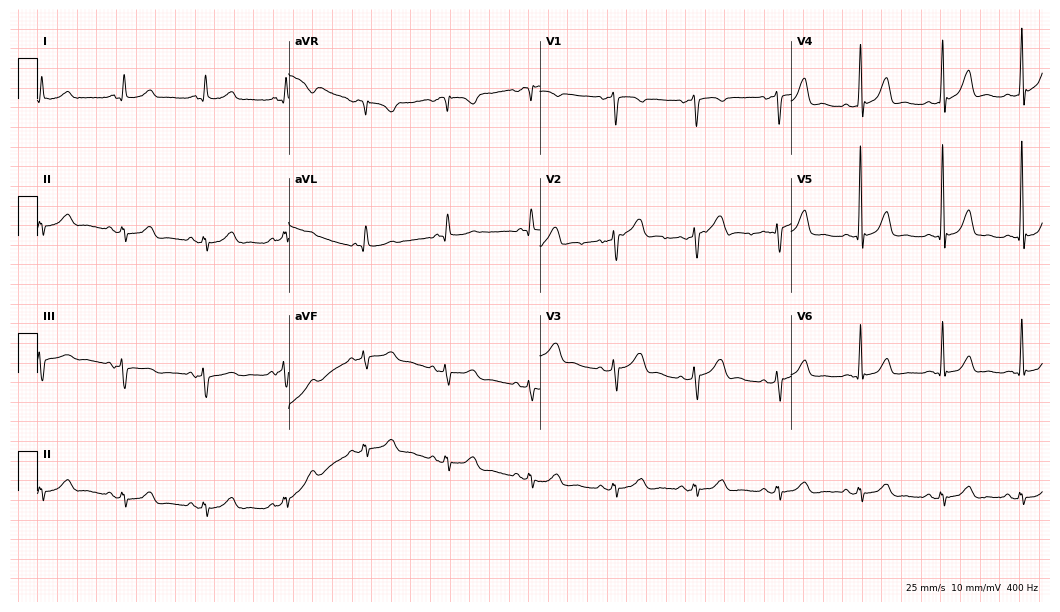
ECG — a woman, 60 years old. Labelled as a normal ECG.